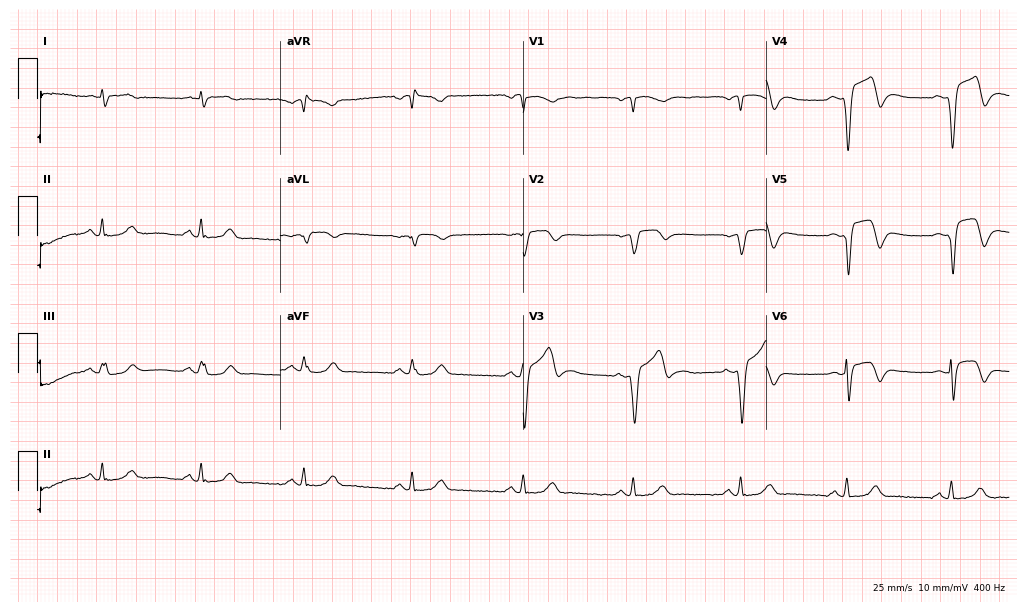
ECG — a male patient, 56 years old. Screened for six findings — first-degree AV block, right bundle branch block, left bundle branch block, sinus bradycardia, atrial fibrillation, sinus tachycardia — none is recorded.